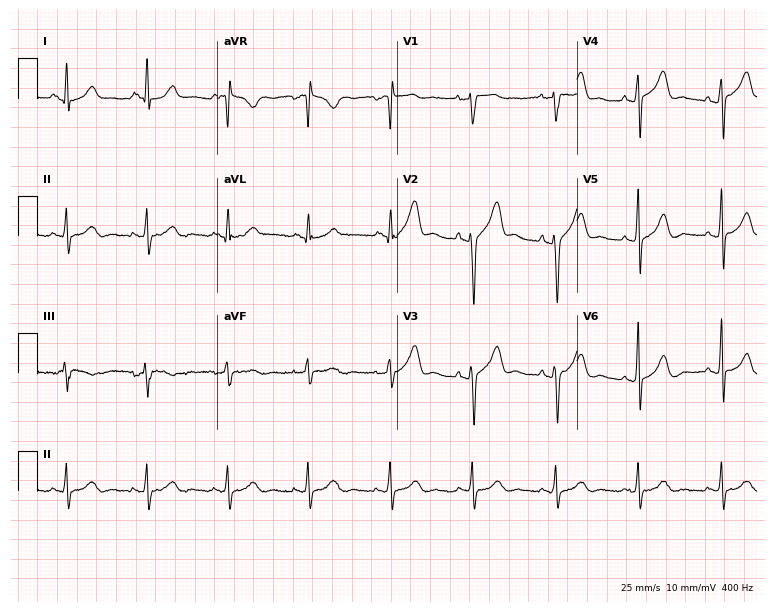
ECG (7.3-second recording at 400 Hz) — a 41-year-old man. Labelled as a normal ECG.